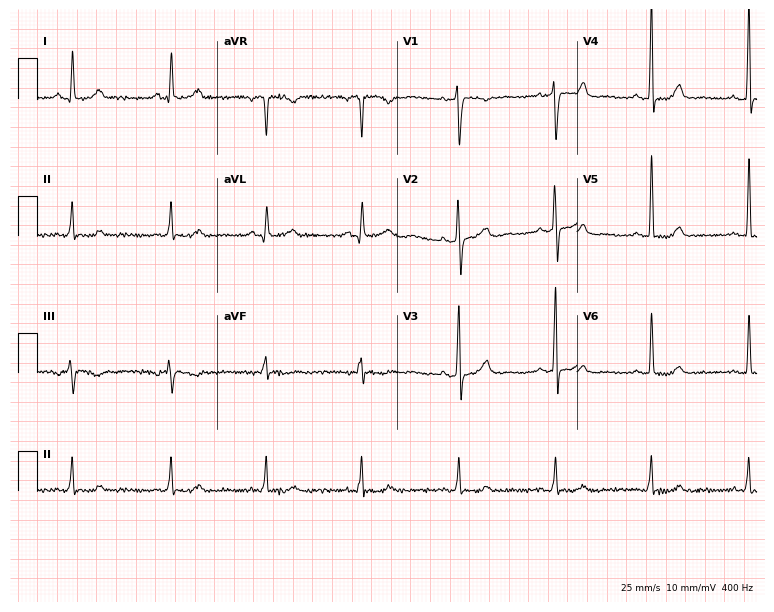
Standard 12-lead ECG recorded from a female, 59 years old (7.3-second recording at 400 Hz). None of these six findings is recorded: first-degree AV block, right bundle branch block, left bundle branch block, sinus bradycardia, atrial fibrillation, sinus tachycardia. Only these six findings were labelled.